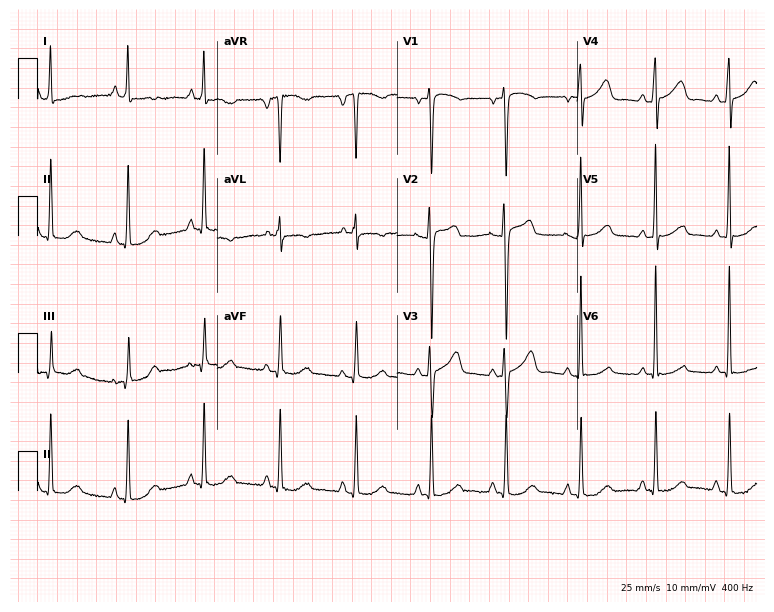
12-lead ECG from a 19-year-old female. Recorded interpretation: within normal limits.